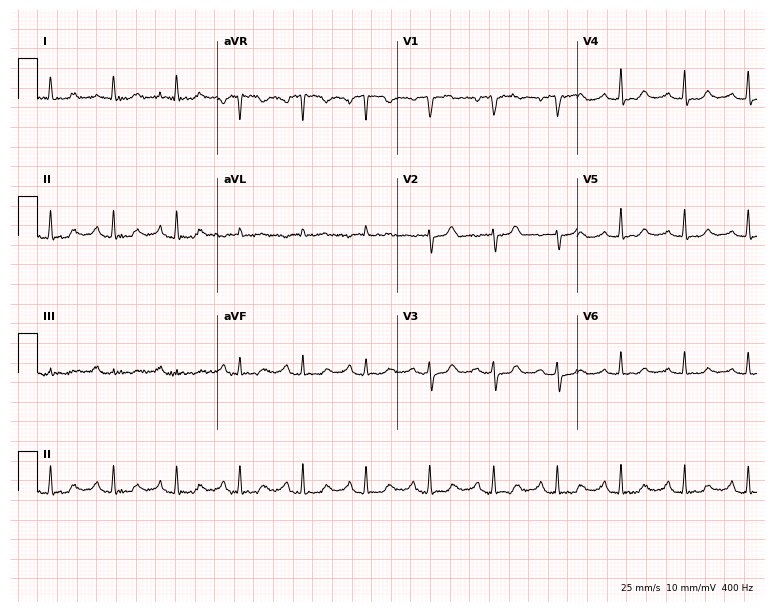
Electrocardiogram (7.3-second recording at 400 Hz), an 85-year-old female. Of the six screened findings (first-degree AV block, right bundle branch block (RBBB), left bundle branch block (LBBB), sinus bradycardia, atrial fibrillation (AF), sinus tachycardia), none is recorded.